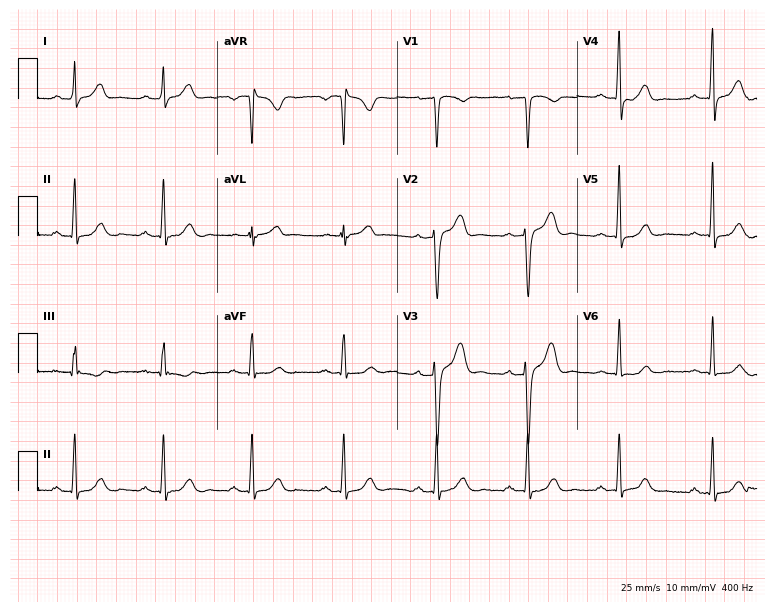
Standard 12-lead ECG recorded from a 43-year-old male (7.3-second recording at 400 Hz). Read as a normal ECG.